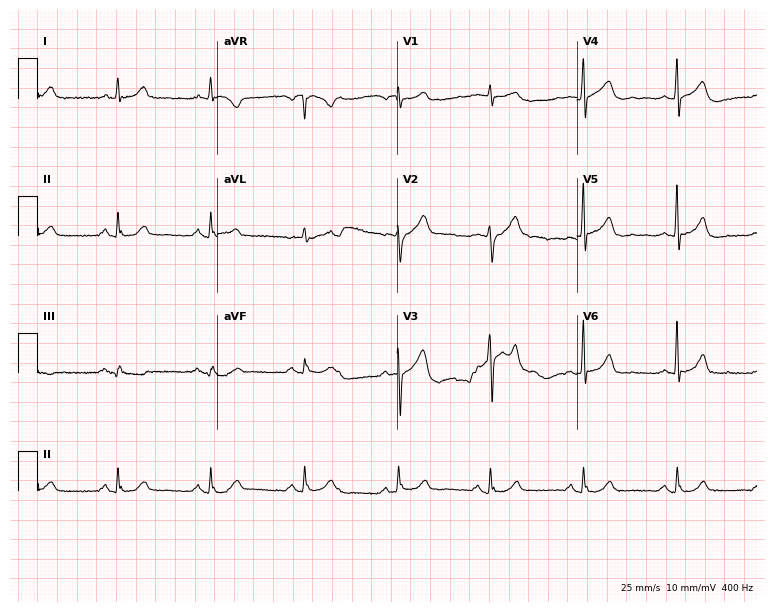
ECG — a male, 64 years old. Labelled as a normal ECG.